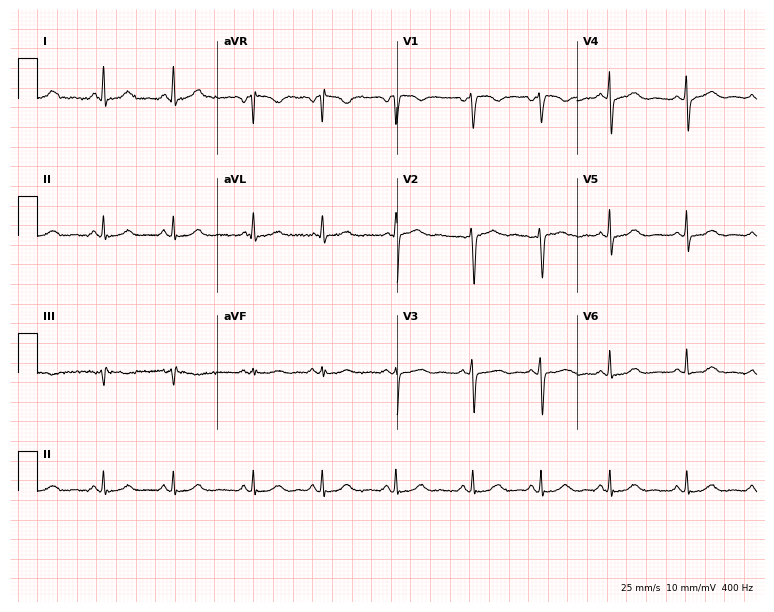
Electrocardiogram (7.3-second recording at 400 Hz), a woman, 44 years old. Overall reading on record: normal ECG.